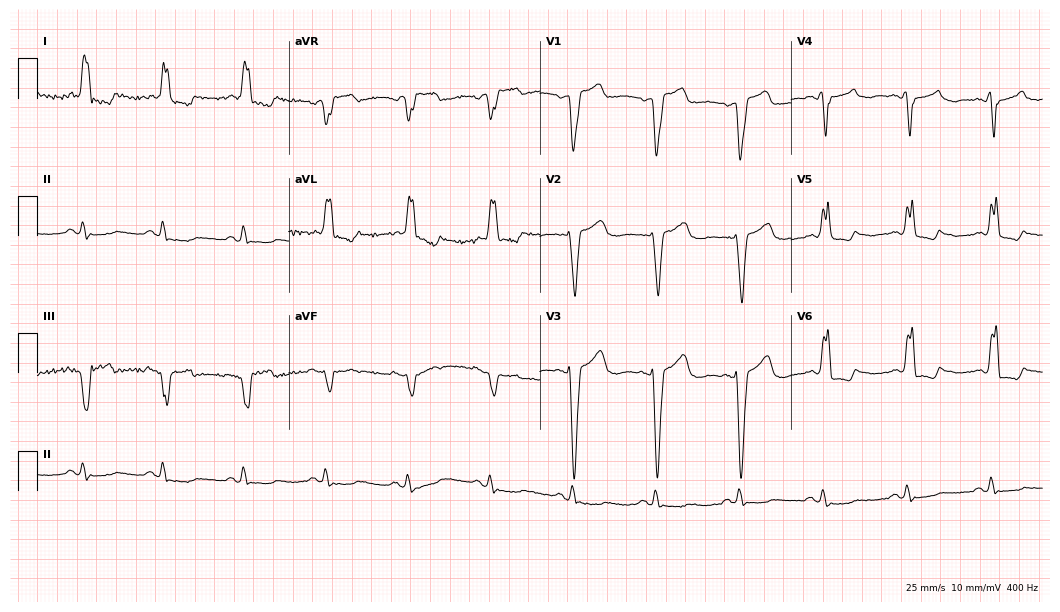
Electrocardiogram, a female, 79 years old. Interpretation includes left bundle branch block.